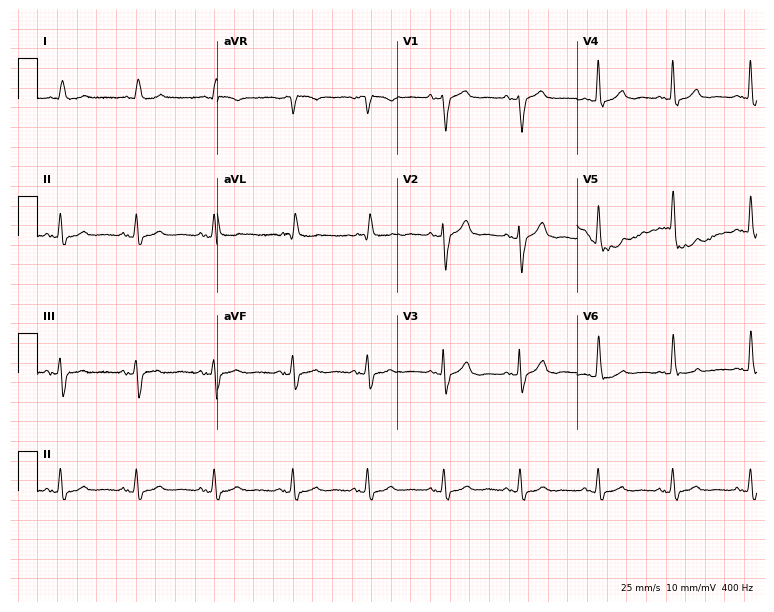
Resting 12-lead electrocardiogram (7.3-second recording at 400 Hz). Patient: a female, 82 years old. None of these six findings is recorded: first-degree AV block, right bundle branch block, left bundle branch block, sinus bradycardia, atrial fibrillation, sinus tachycardia.